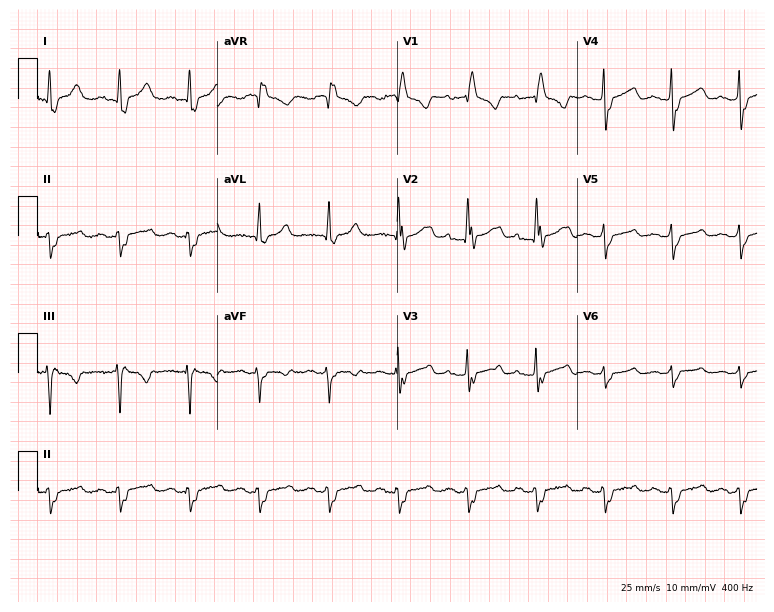
12-lead ECG from a female patient, 41 years old. Findings include right bundle branch block.